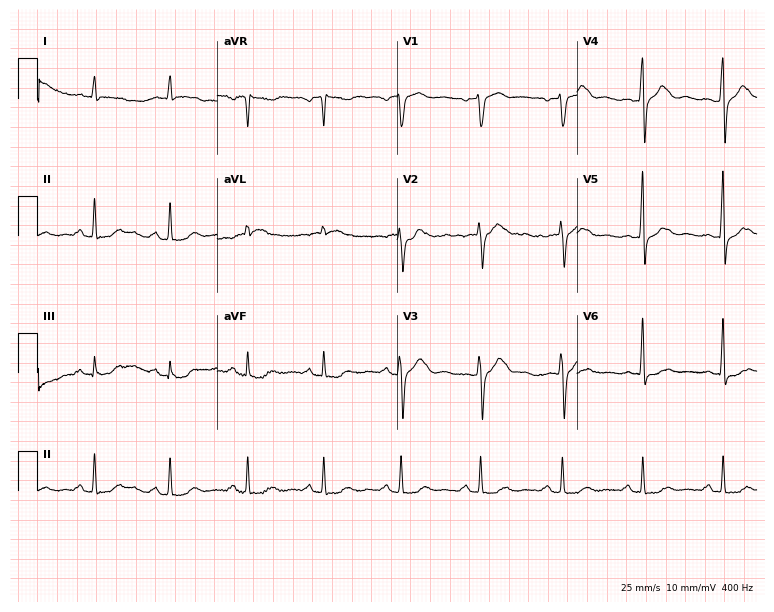
12-lead ECG (7.3-second recording at 400 Hz) from a man, 64 years old. Screened for six findings — first-degree AV block, right bundle branch block, left bundle branch block, sinus bradycardia, atrial fibrillation, sinus tachycardia — none is recorded. Only these six findings were labelled.